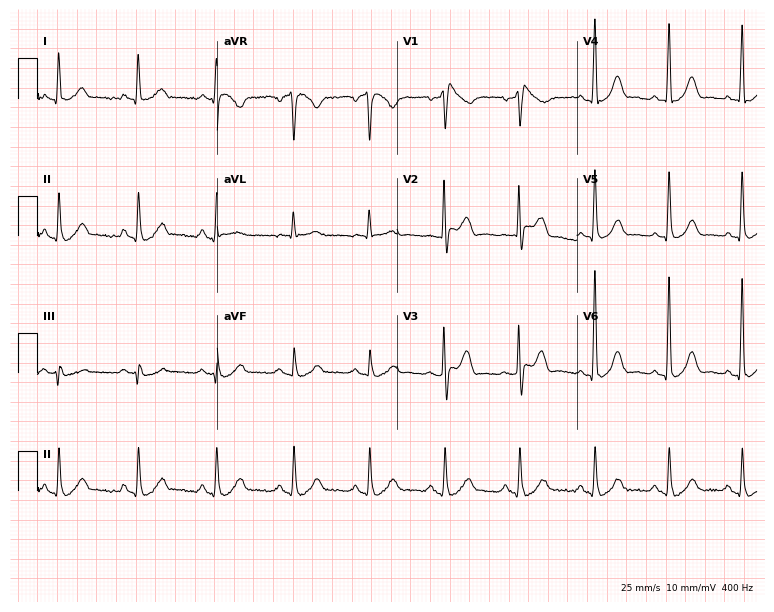
Standard 12-lead ECG recorded from a male, 69 years old (7.3-second recording at 400 Hz). None of these six findings is recorded: first-degree AV block, right bundle branch block (RBBB), left bundle branch block (LBBB), sinus bradycardia, atrial fibrillation (AF), sinus tachycardia. Findings outside these six are not listed.